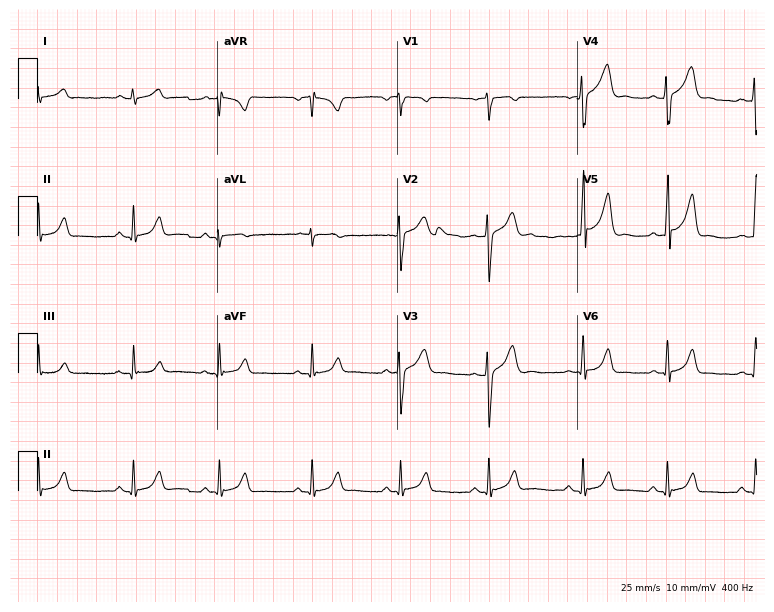
Electrocardiogram, a female, 26 years old. Overall reading on record: normal ECG.